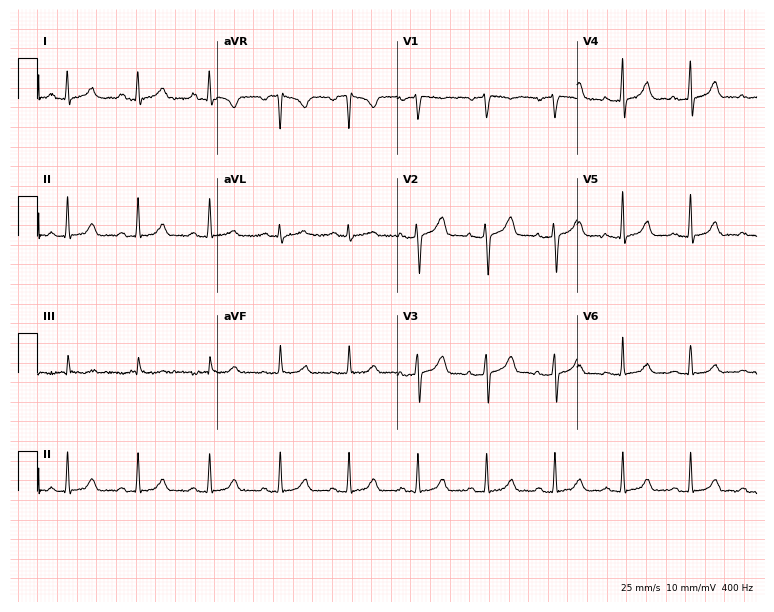
Electrocardiogram (7.3-second recording at 400 Hz), a female patient, 37 years old. Overall reading on record: normal ECG.